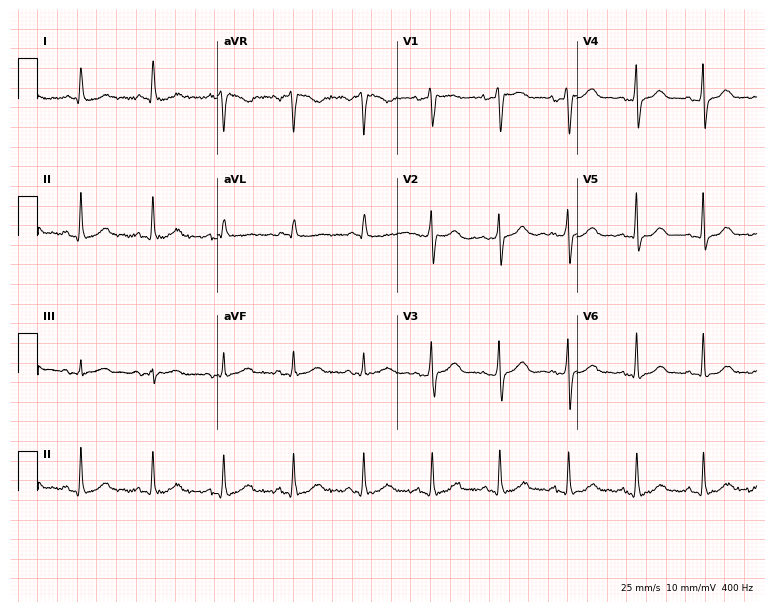
12-lead ECG from a female, 43 years old. Labelled as a normal ECG.